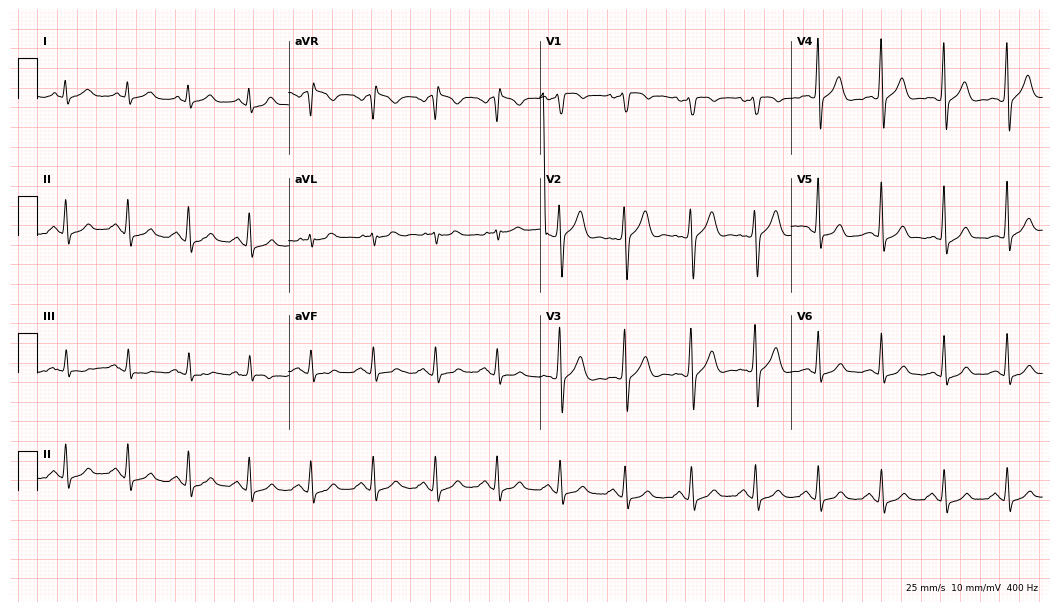
Standard 12-lead ECG recorded from a man, 57 years old (10.2-second recording at 400 Hz). None of these six findings is recorded: first-degree AV block, right bundle branch block (RBBB), left bundle branch block (LBBB), sinus bradycardia, atrial fibrillation (AF), sinus tachycardia.